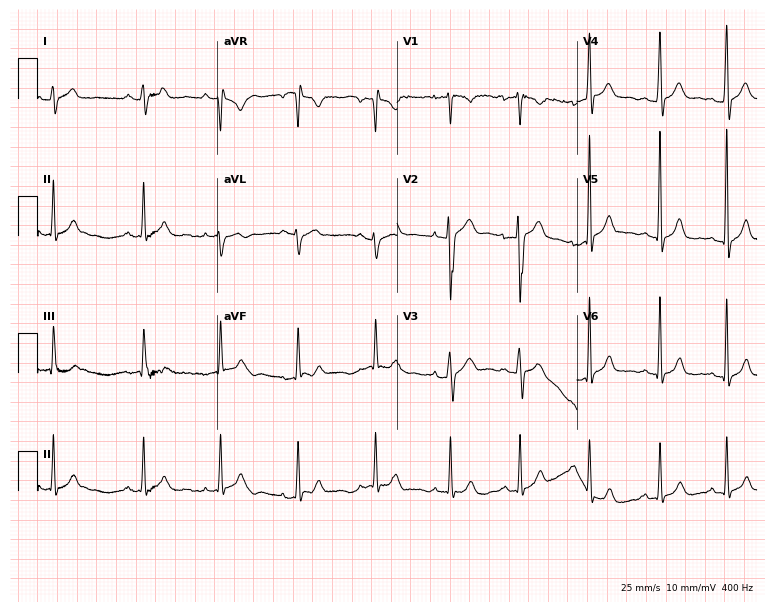
Resting 12-lead electrocardiogram. Patient: a 23-year-old man. None of these six findings is recorded: first-degree AV block, right bundle branch block, left bundle branch block, sinus bradycardia, atrial fibrillation, sinus tachycardia. Findings outside these six are not listed.